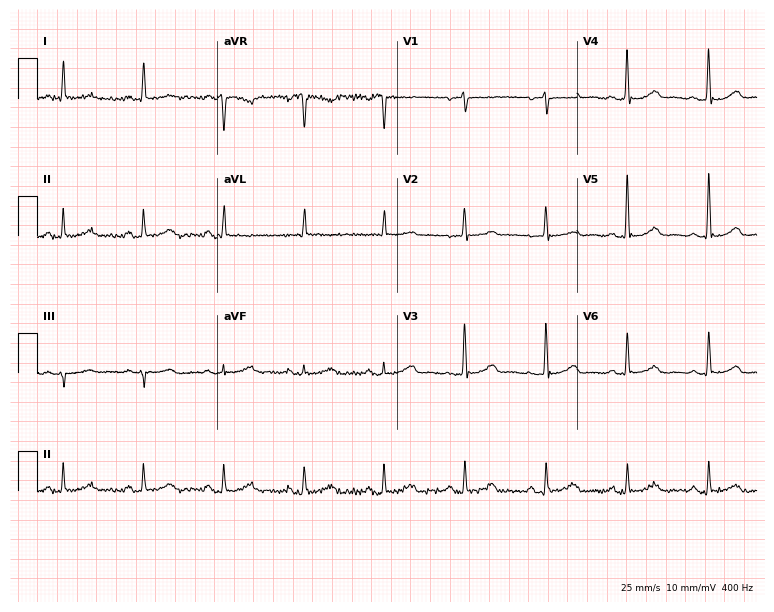
12-lead ECG (7.3-second recording at 400 Hz) from a female patient, 73 years old. Labelled as a normal ECG.